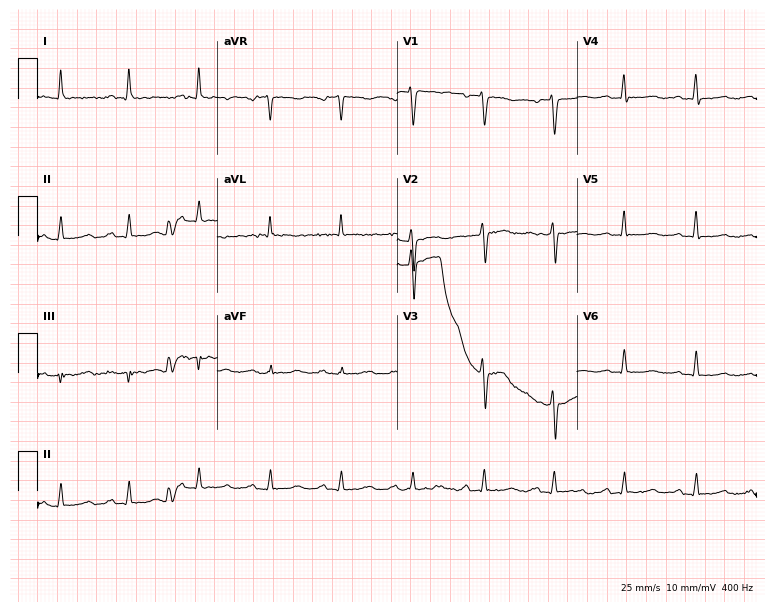
ECG — a 40-year-old female. Screened for six findings — first-degree AV block, right bundle branch block, left bundle branch block, sinus bradycardia, atrial fibrillation, sinus tachycardia — none is recorded.